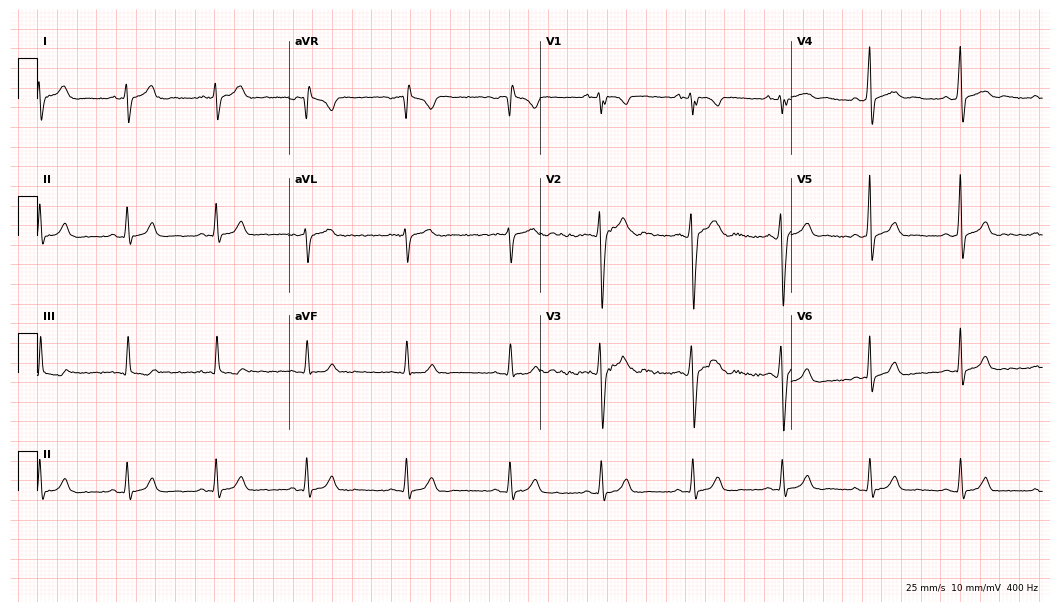
Electrocardiogram (10.2-second recording at 400 Hz), a 25-year-old male. Of the six screened findings (first-degree AV block, right bundle branch block, left bundle branch block, sinus bradycardia, atrial fibrillation, sinus tachycardia), none is recorded.